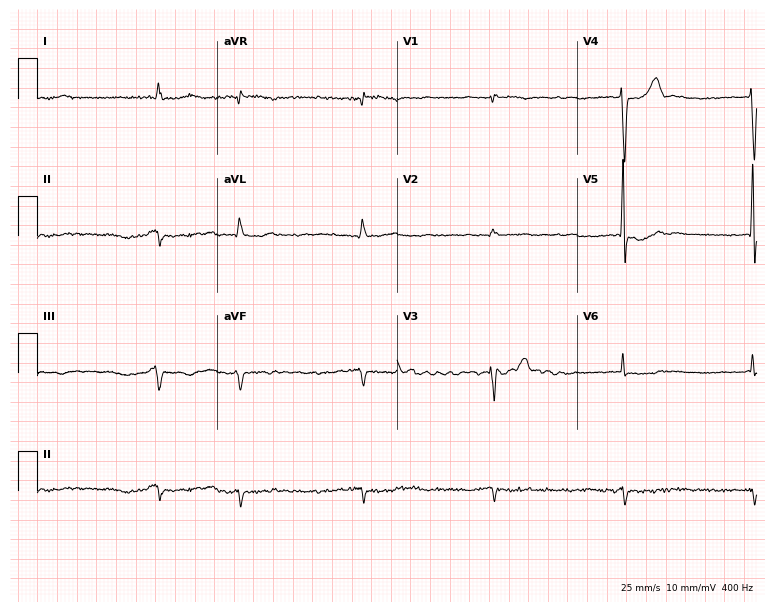
12-lead ECG (7.3-second recording at 400 Hz) from a male patient, 82 years old. Findings include atrial fibrillation.